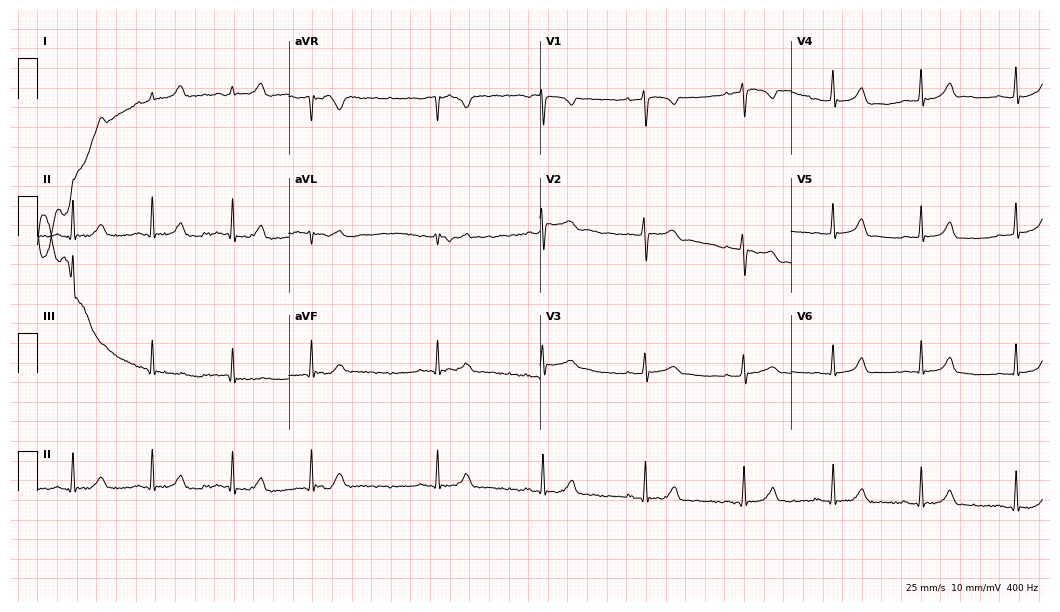
Standard 12-lead ECG recorded from a female patient, 21 years old. None of these six findings is recorded: first-degree AV block, right bundle branch block, left bundle branch block, sinus bradycardia, atrial fibrillation, sinus tachycardia. Other findings, if any, are not listed.